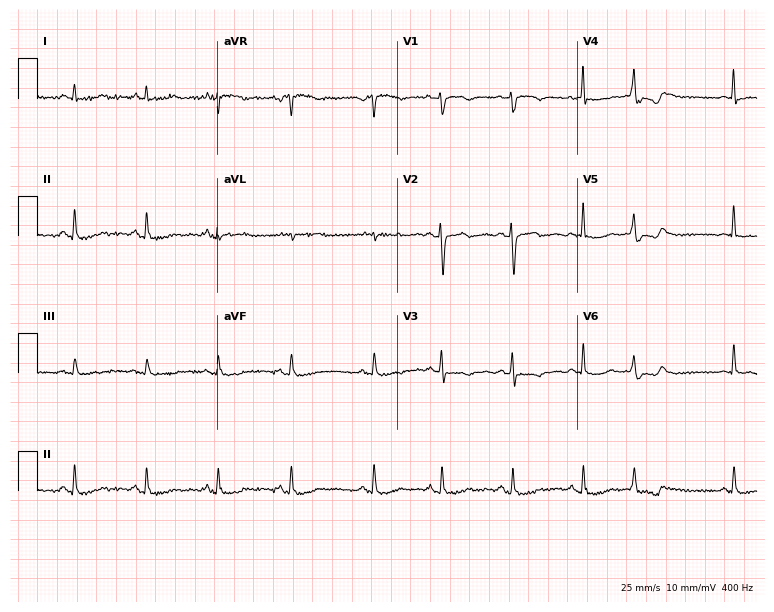
12-lead ECG from a female patient, 49 years old. No first-degree AV block, right bundle branch block (RBBB), left bundle branch block (LBBB), sinus bradycardia, atrial fibrillation (AF) or sinus tachycardia recorded for this tracing.